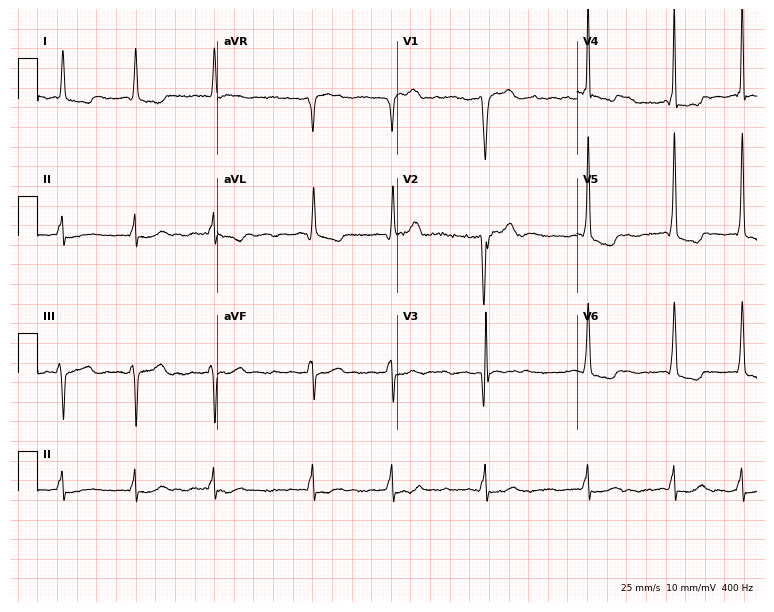
ECG — a 76-year-old male patient. Findings include atrial fibrillation (AF).